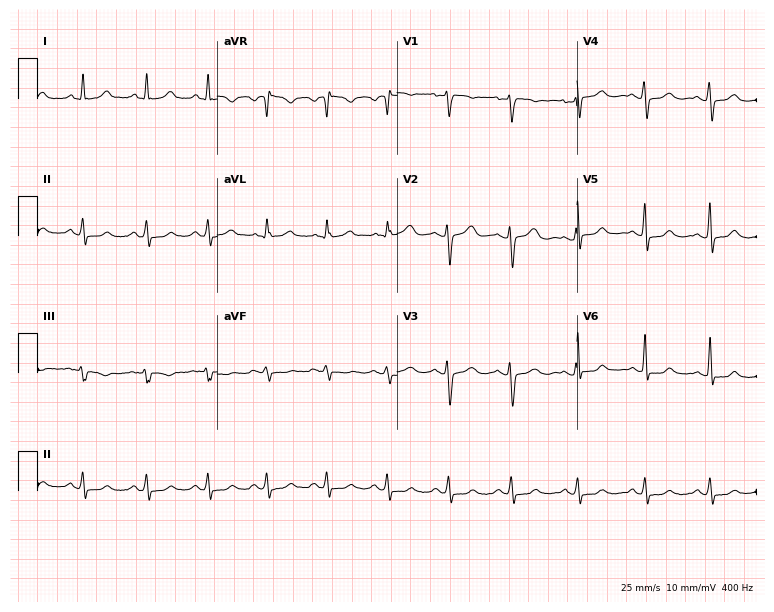
ECG (7.3-second recording at 400 Hz) — a 41-year-old woman. Screened for six findings — first-degree AV block, right bundle branch block, left bundle branch block, sinus bradycardia, atrial fibrillation, sinus tachycardia — none is recorded.